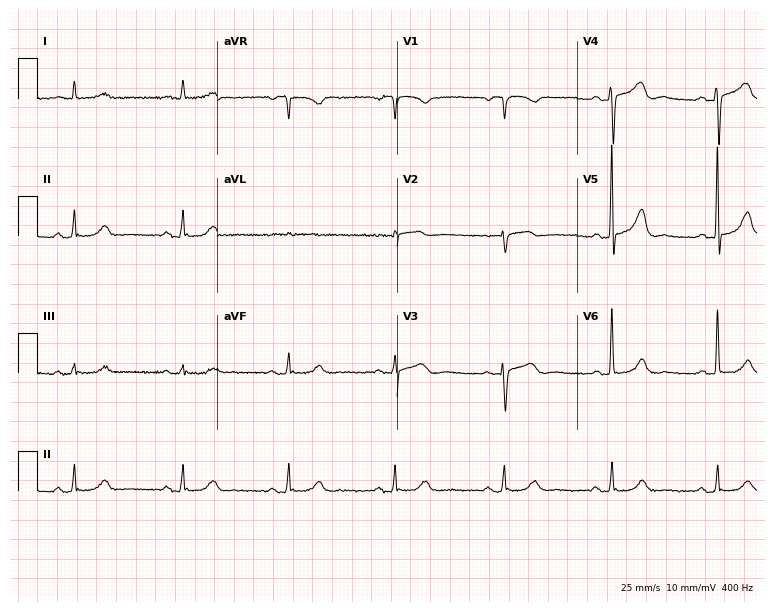
Electrocardiogram (7.3-second recording at 400 Hz), a 75-year-old female. Of the six screened findings (first-degree AV block, right bundle branch block, left bundle branch block, sinus bradycardia, atrial fibrillation, sinus tachycardia), none is recorded. Other findings, if any, are not listed.